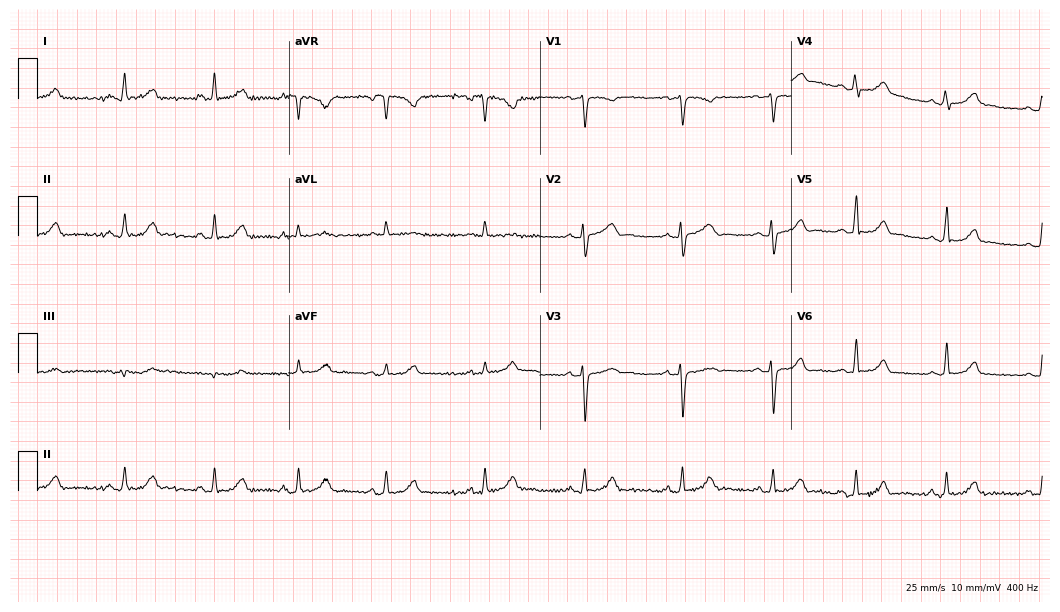
Electrocardiogram (10.2-second recording at 400 Hz), a 44-year-old female patient. Overall reading on record: normal ECG.